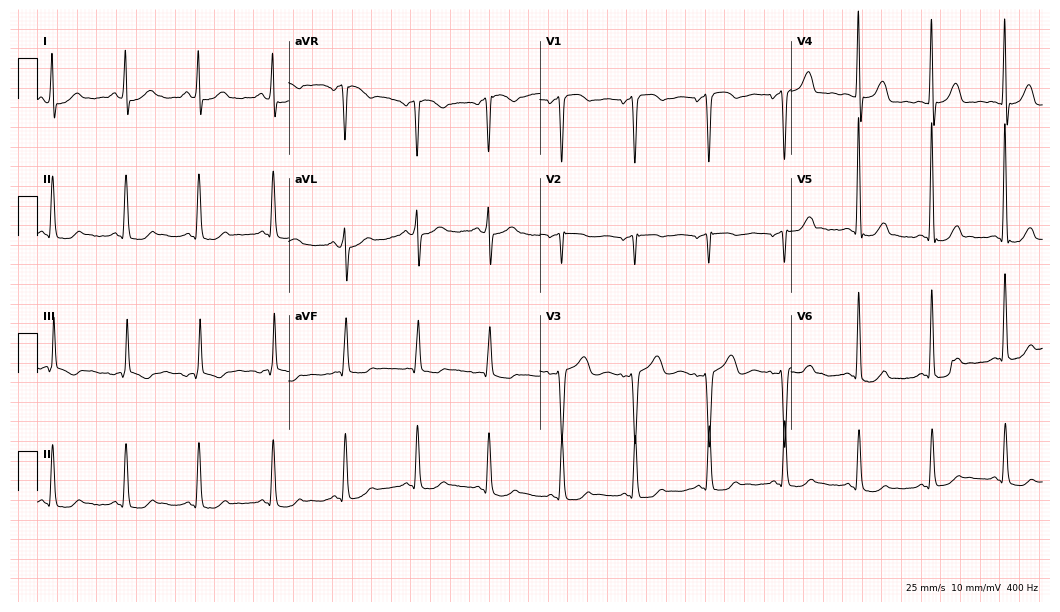
ECG (10.2-second recording at 400 Hz) — a 54-year-old female patient. Screened for six findings — first-degree AV block, right bundle branch block, left bundle branch block, sinus bradycardia, atrial fibrillation, sinus tachycardia — none is recorded. Findings outside these six are not listed.